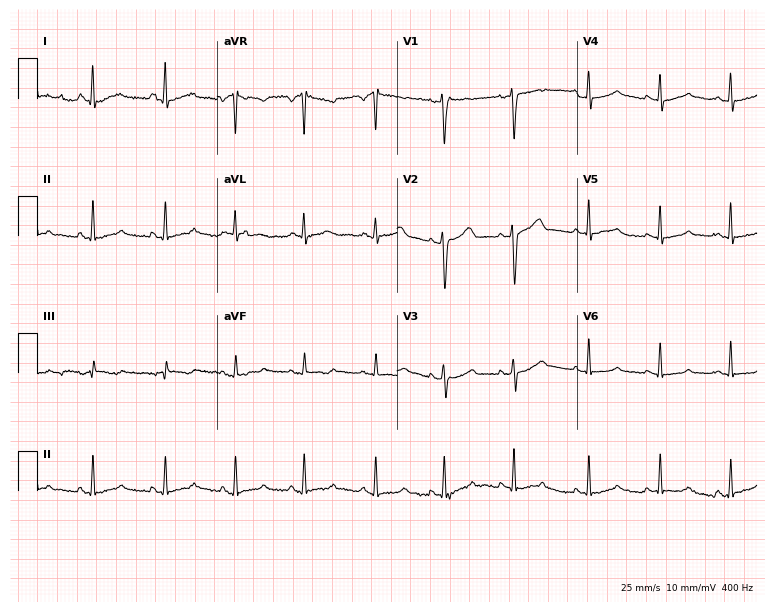
Standard 12-lead ECG recorded from a 30-year-old female patient. None of these six findings is recorded: first-degree AV block, right bundle branch block, left bundle branch block, sinus bradycardia, atrial fibrillation, sinus tachycardia. Only these six findings were labelled.